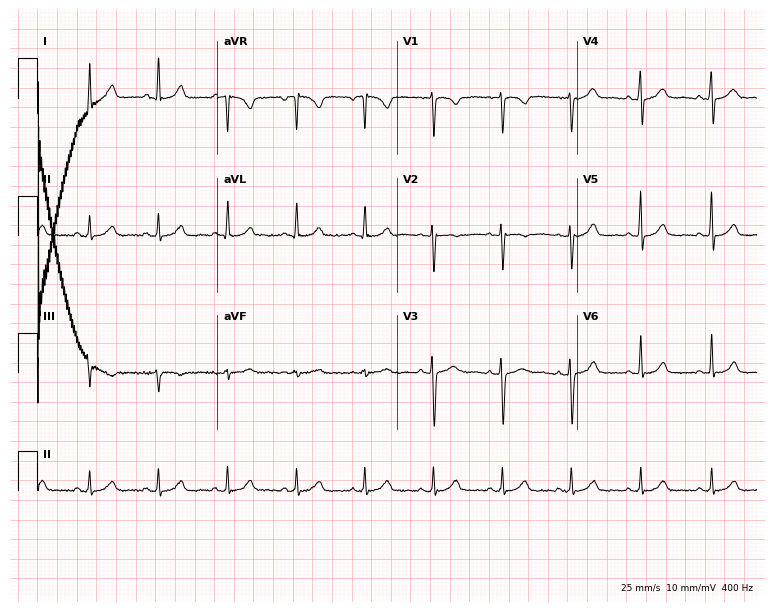
Resting 12-lead electrocardiogram (7.3-second recording at 400 Hz). Patient: a 40-year-old male. Read as a normal ECG.